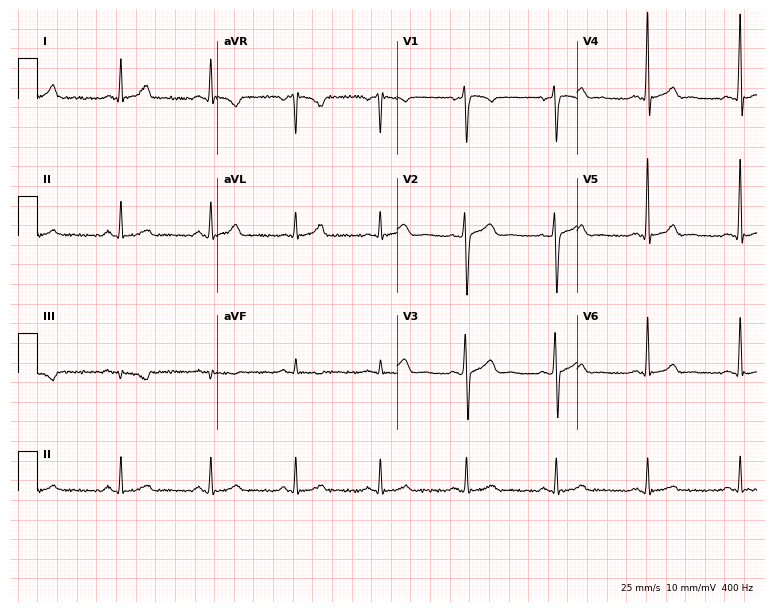
12-lead ECG (7.3-second recording at 400 Hz) from a woman, 35 years old. Labelled as a normal ECG.